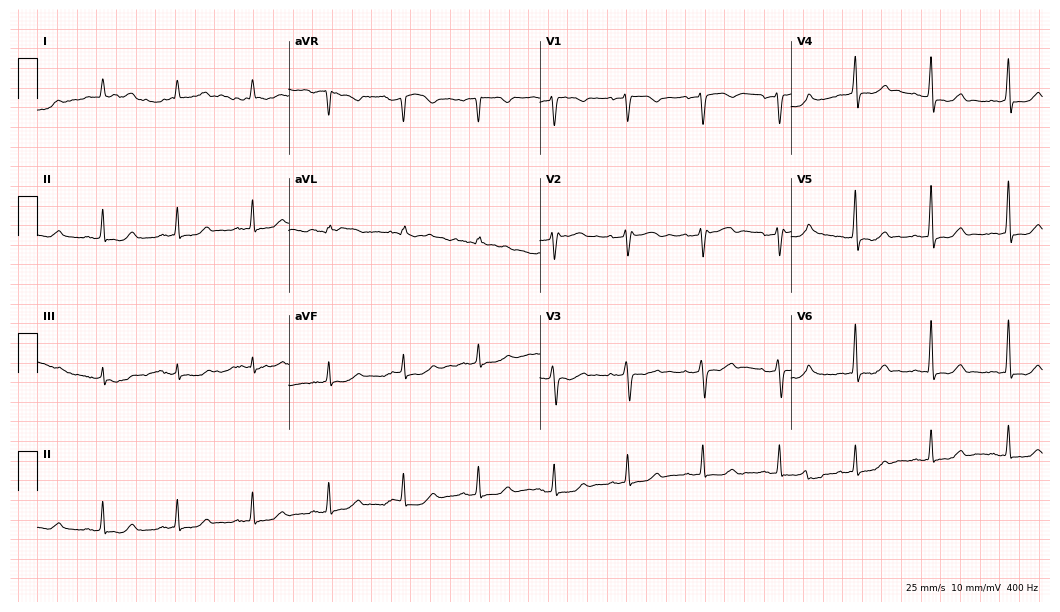
Electrocardiogram (10.2-second recording at 400 Hz), a woman, 46 years old. Of the six screened findings (first-degree AV block, right bundle branch block, left bundle branch block, sinus bradycardia, atrial fibrillation, sinus tachycardia), none is recorded.